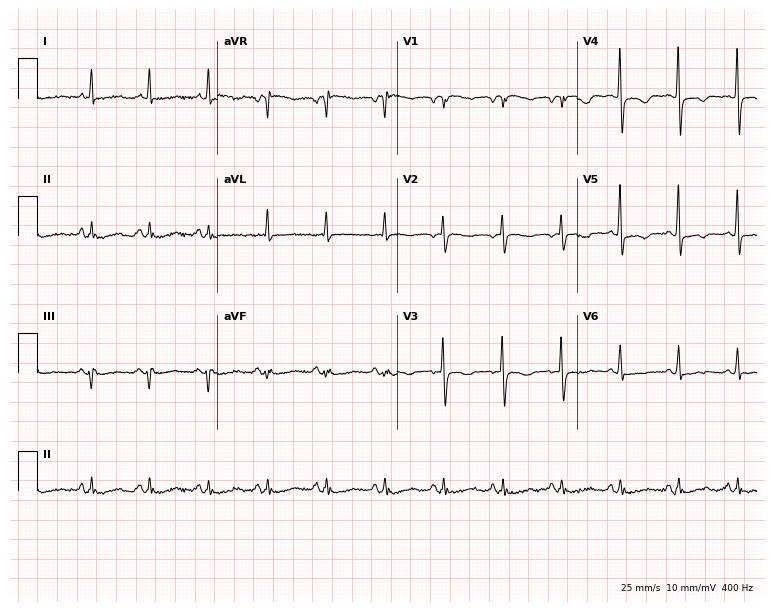
12-lead ECG (7.3-second recording at 400 Hz) from a 65-year-old woman. Screened for six findings — first-degree AV block, right bundle branch block, left bundle branch block, sinus bradycardia, atrial fibrillation, sinus tachycardia — none is recorded.